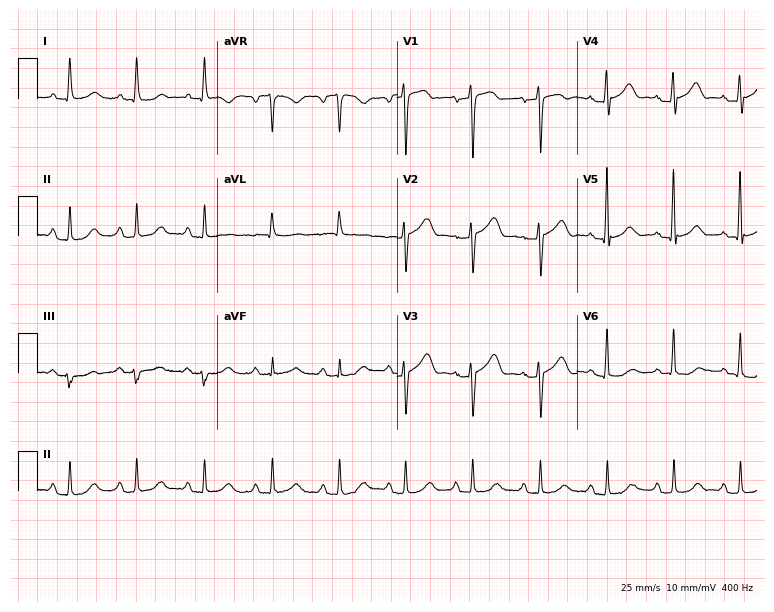
ECG (7.3-second recording at 400 Hz) — a 74-year-old woman. Screened for six findings — first-degree AV block, right bundle branch block, left bundle branch block, sinus bradycardia, atrial fibrillation, sinus tachycardia — none is recorded.